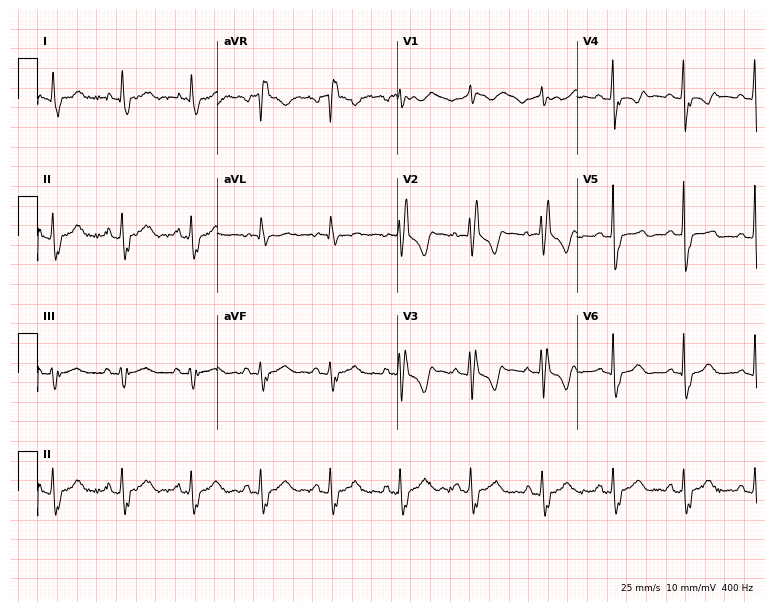
12-lead ECG (7.3-second recording at 400 Hz) from a 22-year-old female. Findings include right bundle branch block.